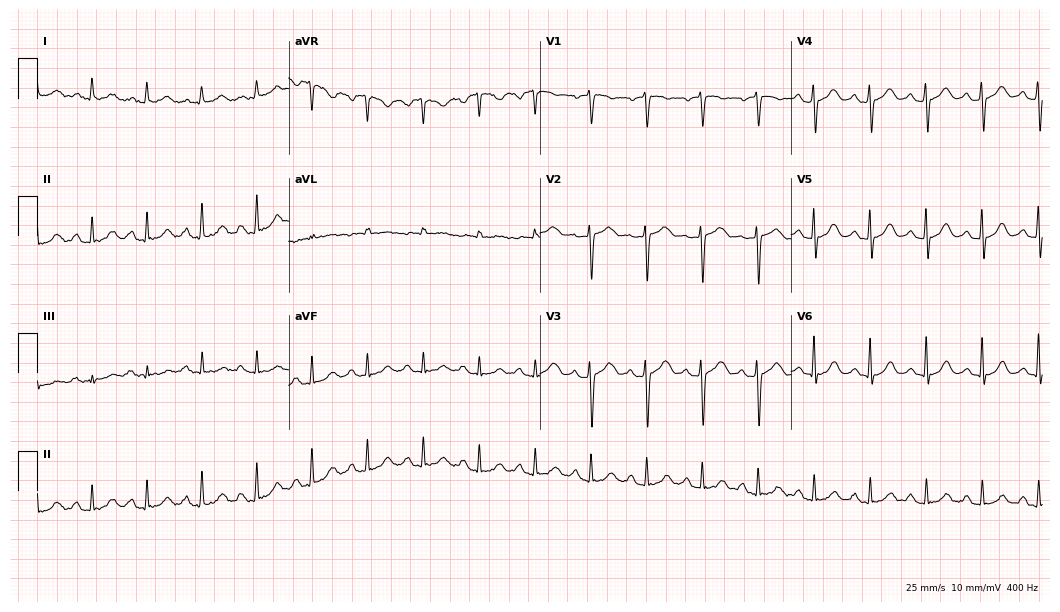
12-lead ECG from a female patient, 19 years old (10.2-second recording at 400 Hz). Shows sinus tachycardia (a sinus rate of 100 beats per minute or more).